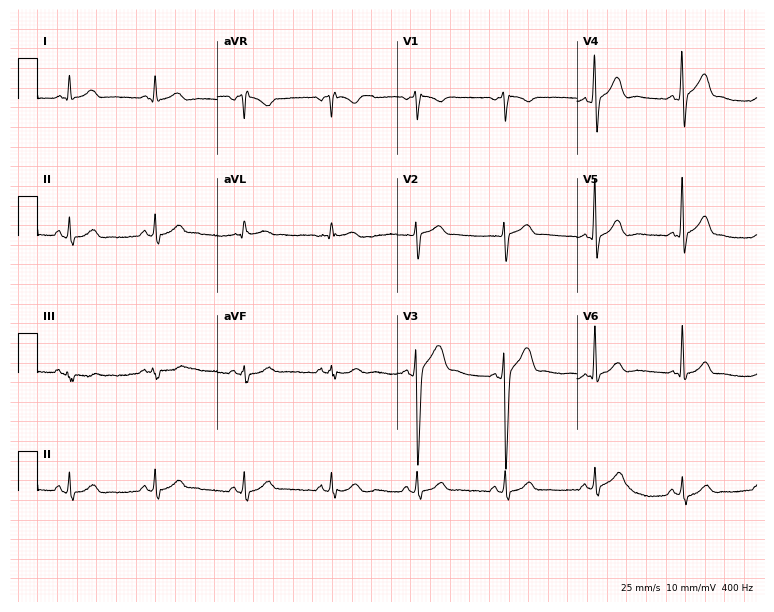
Resting 12-lead electrocardiogram (7.3-second recording at 400 Hz). Patient: a 46-year-old male. None of these six findings is recorded: first-degree AV block, right bundle branch block, left bundle branch block, sinus bradycardia, atrial fibrillation, sinus tachycardia. Other findings, if any, are not listed.